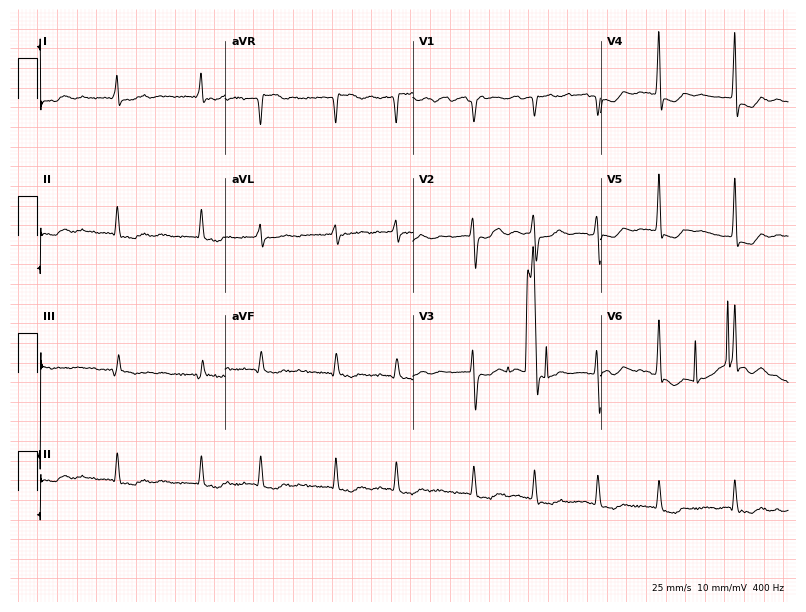
ECG (7.7-second recording at 400 Hz) — a 76-year-old woman. Findings include atrial fibrillation.